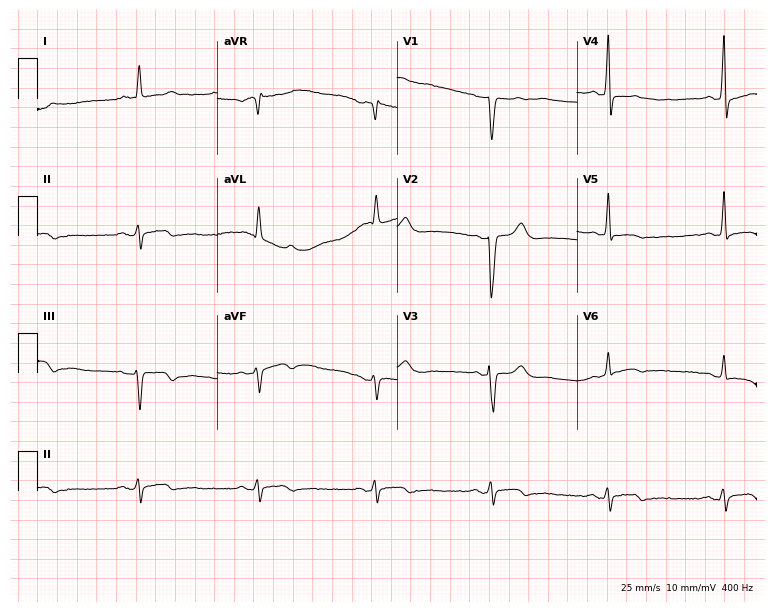
Standard 12-lead ECG recorded from a 79-year-old man (7.3-second recording at 400 Hz). None of these six findings is recorded: first-degree AV block, right bundle branch block (RBBB), left bundle branch block (LBBB), sinus bradycardia, atrial fibrillation (AF), sinus tachycardia. Only these six findings were labelled.